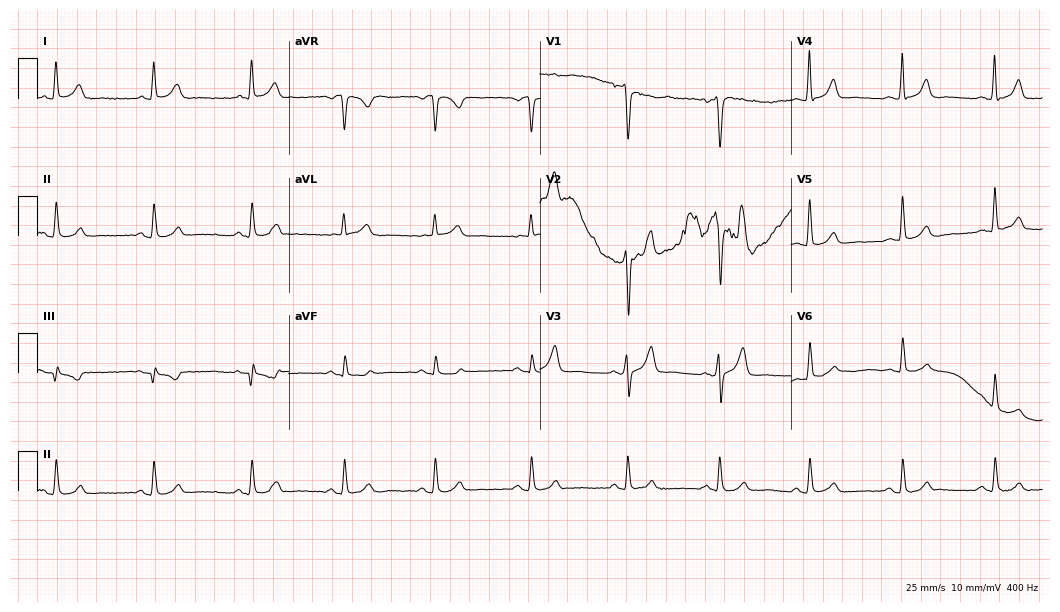
ECG (10.2-second recording at 400 Hz) — a male patient, 59 years old. Labelled as a normal ECG.